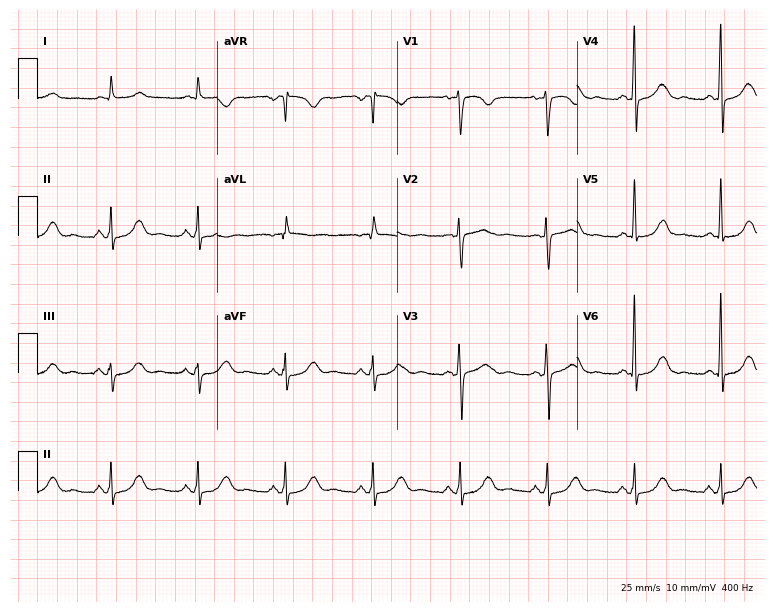
Electrocardiogram (7.3-second recording at 400 Hz), a 53-year-old woman. Of the six screened findings (first-degree AV block, right bundle branch block, left bundle branch block, sinus bradycardia, atrial fibrillation, sinus tachycardia), none is recorded. Findings outside these six are not listed.